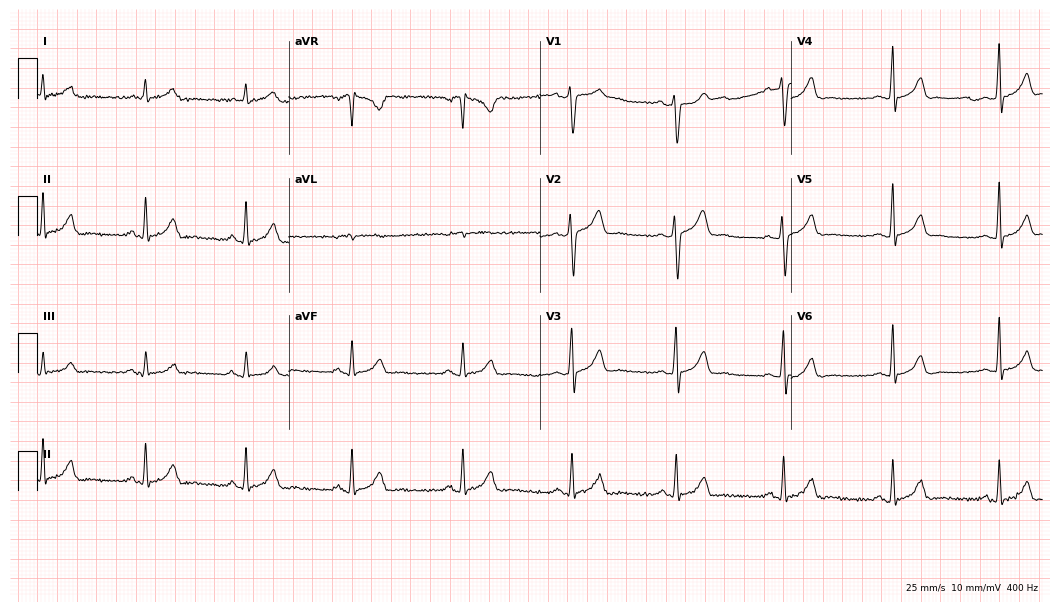
12-lead ECG from a 39-year-old male patient. Screened for six findings — first-degree AV block, right bundle branch block, left bundle branch block, sinus bradycardia, atrial fibrillation, sinus tachycardia — none is recorded. Findings outside these six are not listed.